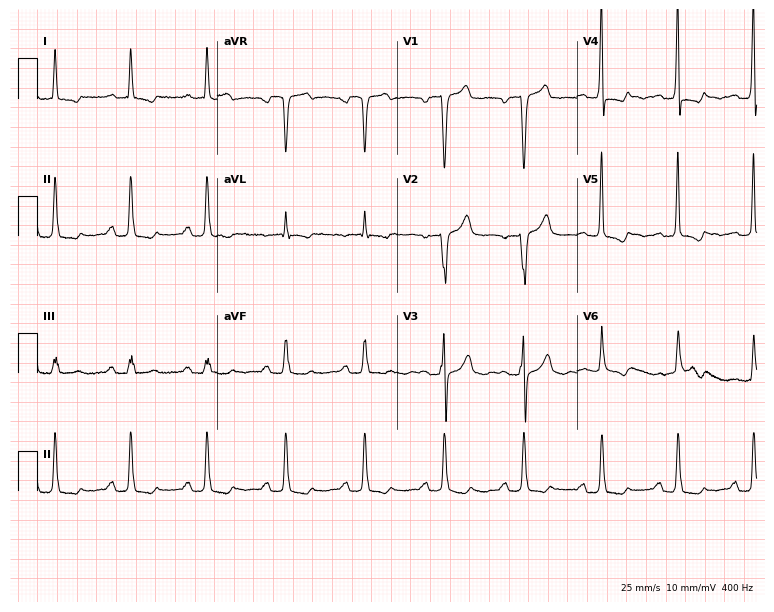
Electrocardiogram, a female patient, 53 years old. Of the six screened findings (first-degree AV block, right bundle branch block (RBBB), left bundle branch block (LBBB), sinus bradycardia, atrial fibrillation (AF), sinus tachycardia), none is recorded. Only these six findings were labelled.